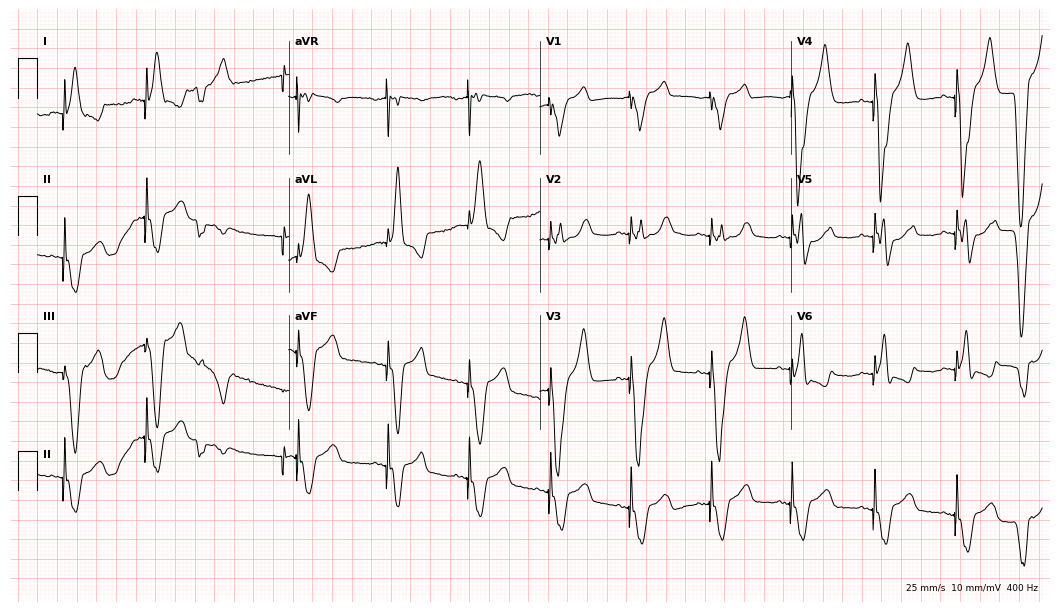
12-lead ECG from a female patient, 77 years old. No first-degree AV block, right bundle branch block (RBBB), left bundle branch block (LBBB), sinus bradycardia, atrial fibrillation (AF) or sinus tachycardia recorded for this tracing.